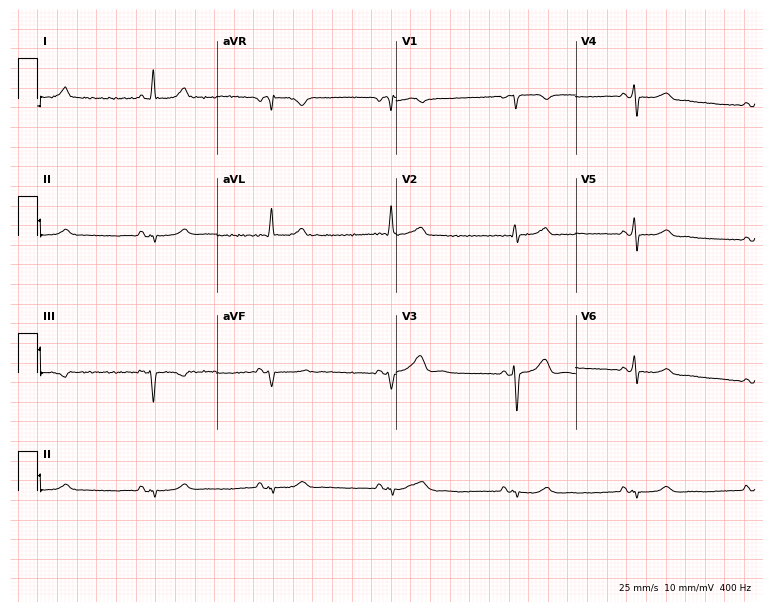
12-lead ECG (7.3-second recording at 400 Hz) from a woman, 59 years old. Screened for six findings — first-degree AV block, right bundle branch block, left bundle branch block, sinus bradycardia, atrial fibrillation, sinus tachycardia — none is recorded. Other findings, if any, are not listed.